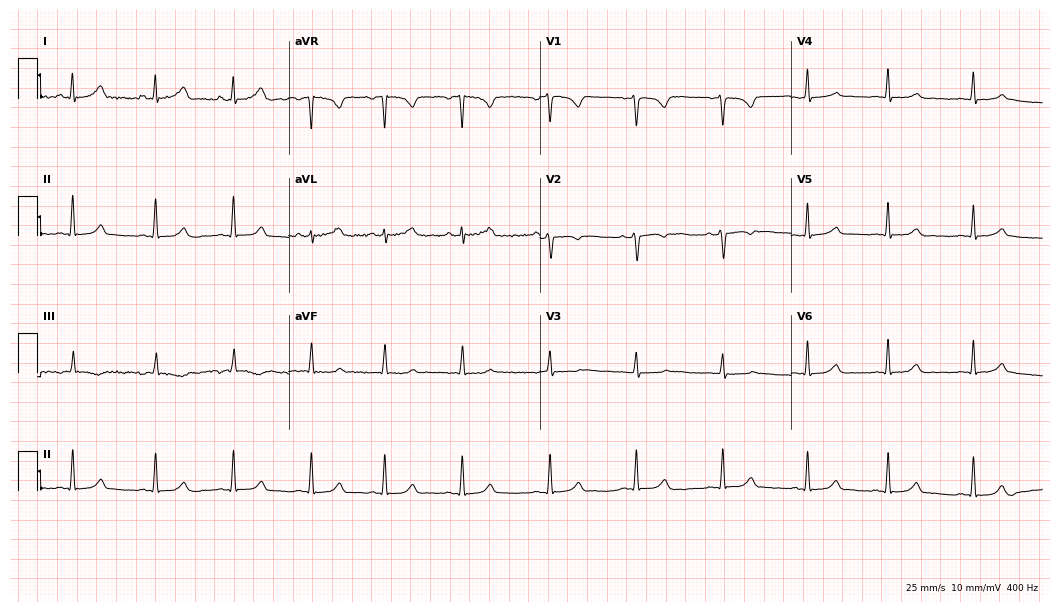
12-lead ECG from a 23-year-old woman (10.2-second recording at 400 Hz). No first-degree AV block, right bundle branch block, left bundle branch block, sinus bradycardia, atrial fibrillation or sinus tachycardia recorded for this tracing.